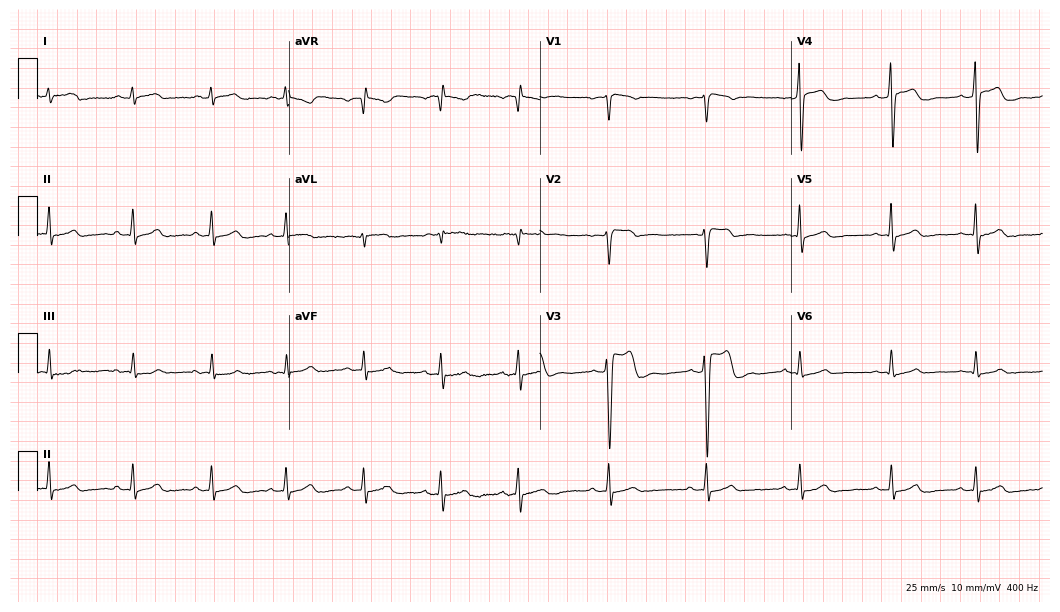
ECG (10.2-second recording at 400 Hz) — a man, 28 years old. Screened for six findings — first-degree AV block, right bundle branch block, left bundle branch block, sinus bradycardia, atrial fibrillation, sinus tachycardia — none is recorded.